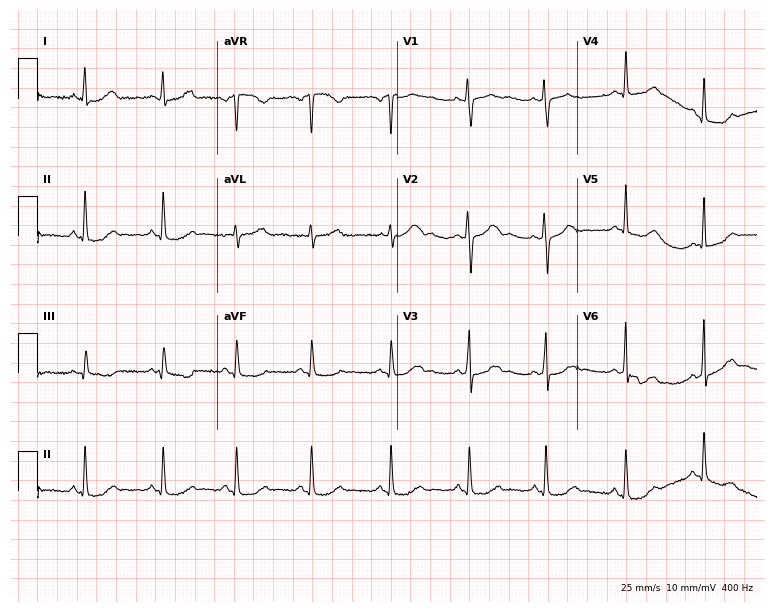
ECG — a woman, 33 years old. Screened for six findings — first-degree AV block, right bundle branch block, left bundle branch block, sinus bradycardia, atrial fibrillation, sinus tachycardia — none is recorded.